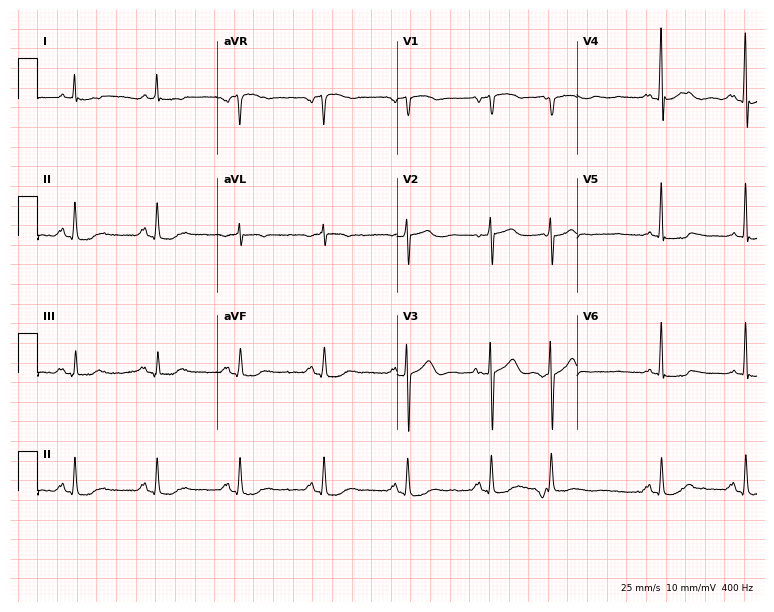
Electrocardiogram (7.3-second recording at 400 Hz), a 78-year-old man. Of the six screened findings (first-degree AV block, right bundle branch block, left bundle branch block, sinus bradycardia, atrial fibrillation, sinus tachycardia), none is recorded. Only these six findings were labelled.